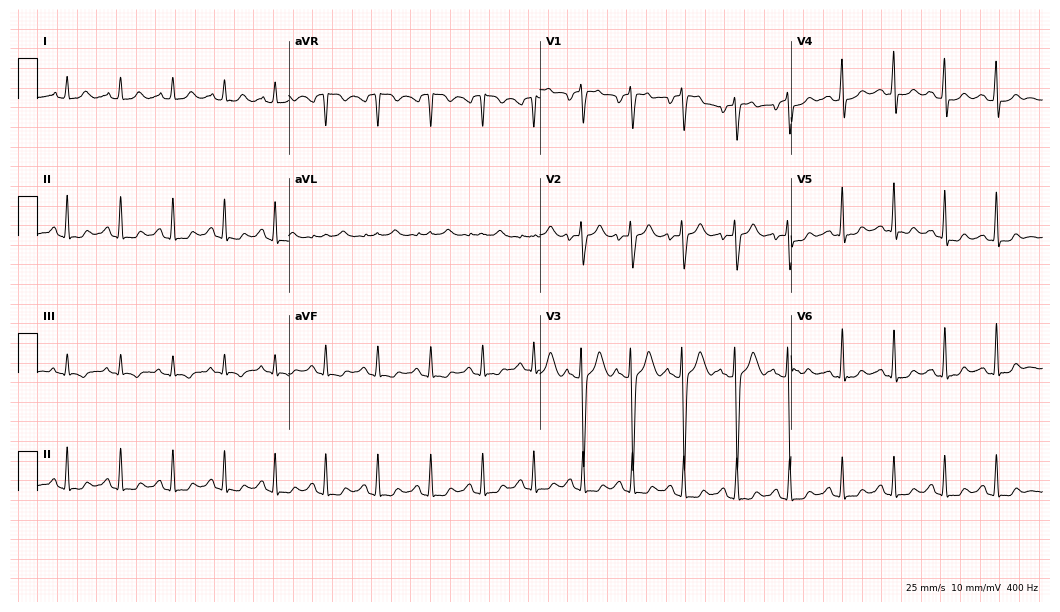
ECG — a woman, 17 years old. Findings include sinus tachycardia (a sinus rate of 100 beats per minute or more).